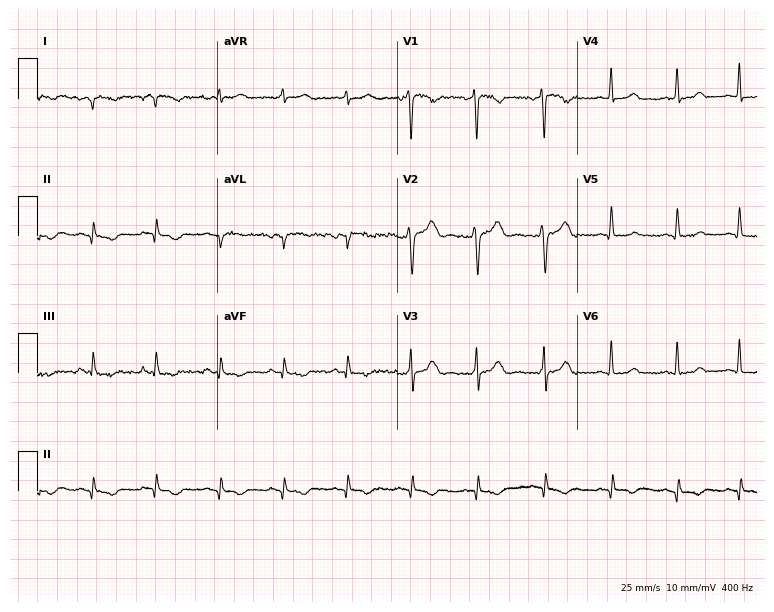
12-lead ECG from a female patient, 26 years old (7.3-second recording at 400 Hz). No first-degree AV block, right bundle branch block, left bundle branch block, sinus bradycardia, atrial fibrillation or sinus tachycardia recorded for this tracing.